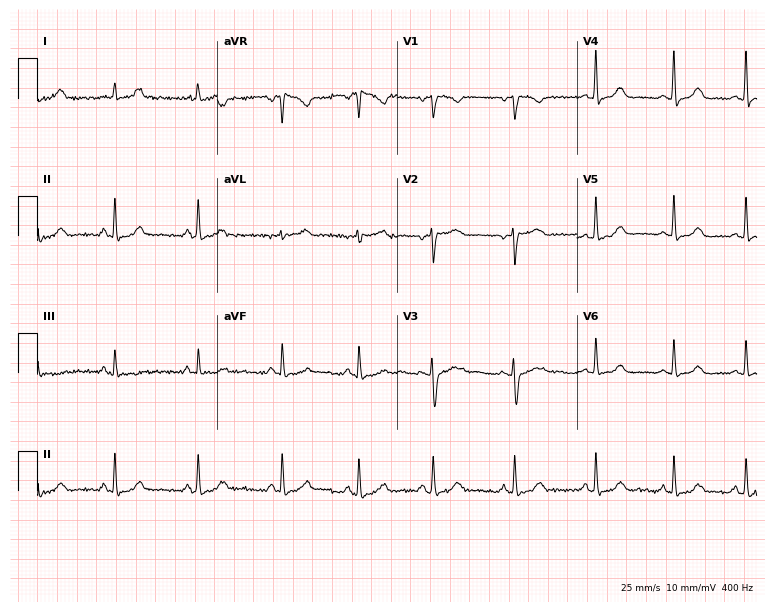
ECG (7.3-second recording at 400 Hz) — a female patient, 32 years old. Screened for six findings — first-degree AV block, right bundle branch block, left bundle branch block, sinus bradycardia, atrial fibrillation, sinus tachycardia — none is recorded. Only these six findings were labelled.